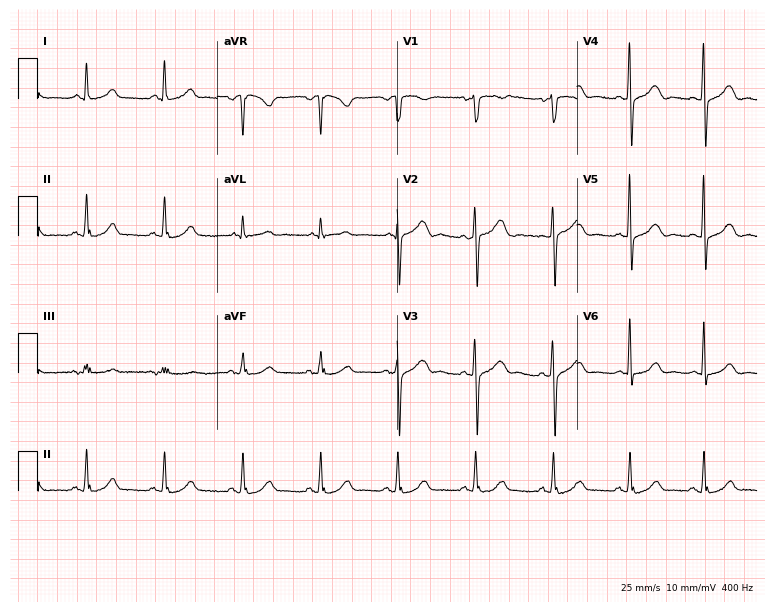
Resting 12-lead electrocardiogram (7.3-second recording at 400 Hz). Patient: a woman, 40 years old. Read as a normal ECG.